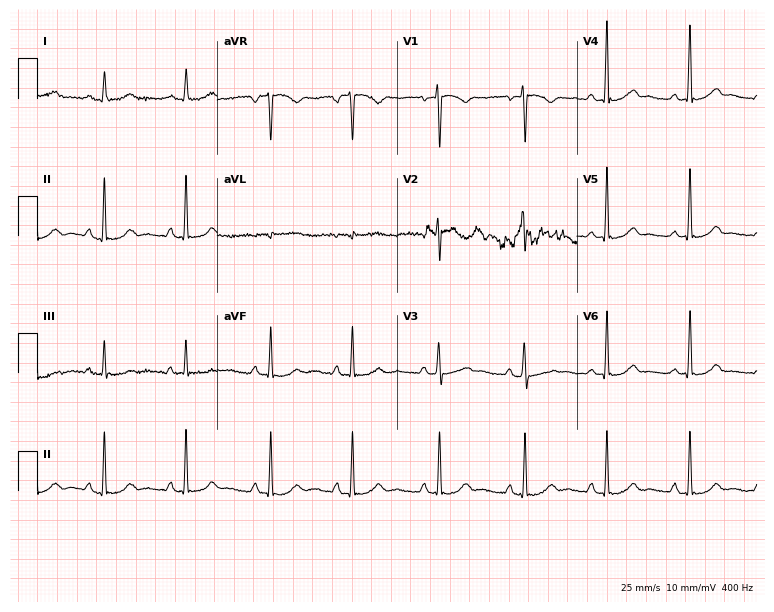
Standard 12-lead ECG recorded from a 31-year-old female patient. Read as a normal ECG.